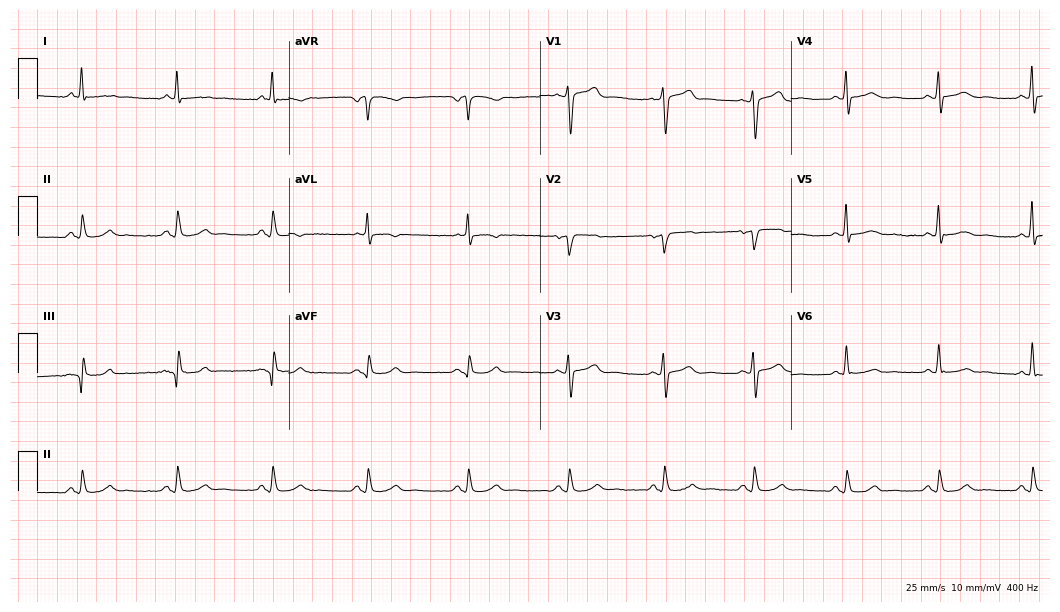
Electrocardiogram, a 66-year-old man. Of the six screened findings (first-degree AV block, right bundle branch block, left bundle branch block, sinus bradycardia, atrial fibrillation, sinus tachycardia), none is recorded. Findings outside these six are not listed.